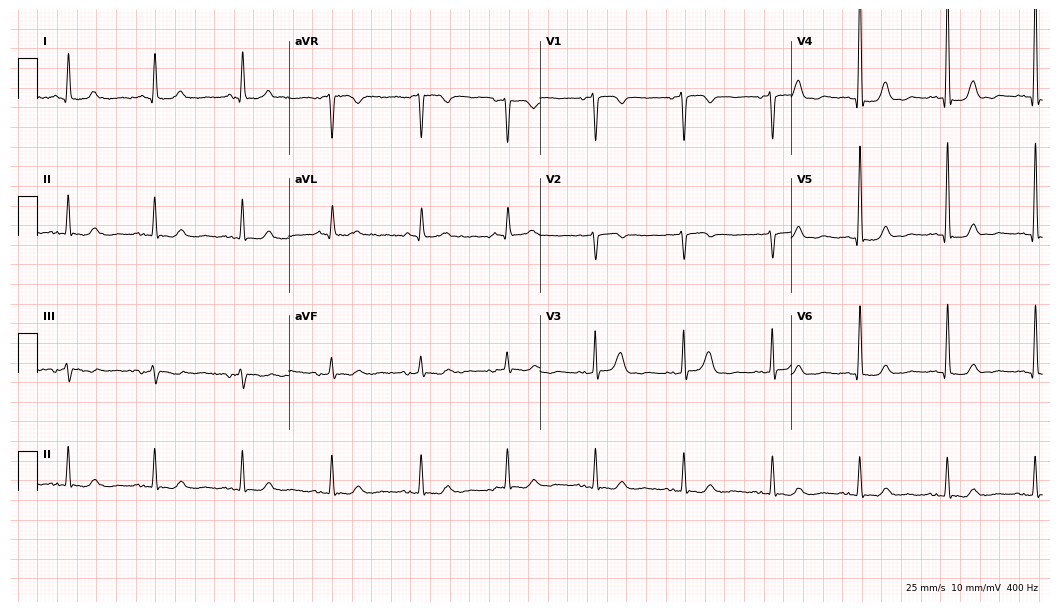
Standard 12-lead ECG recorded from a female patient, 73 years old. Read as a normal ECG.